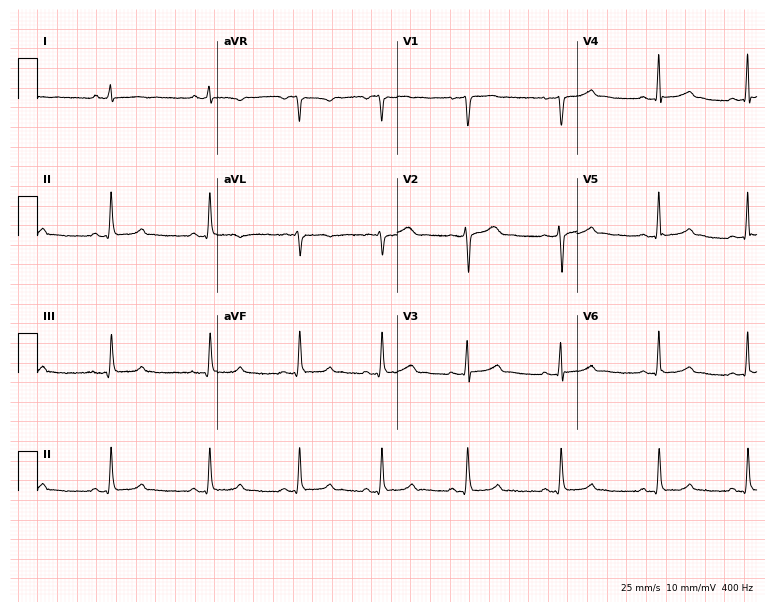
ECG — a 37-year-old woman. Labelled as a normal ECG.